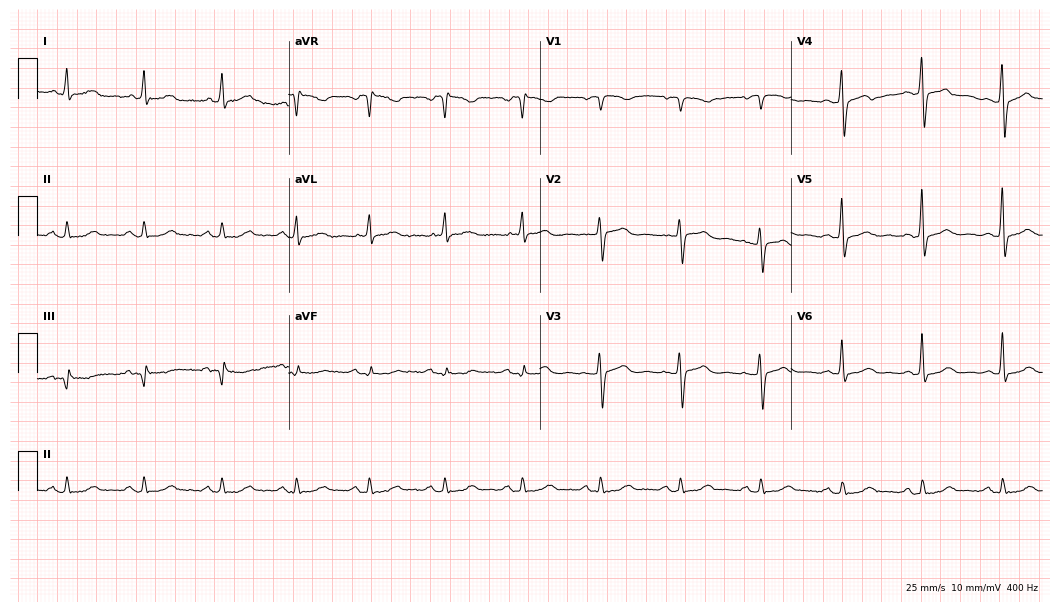
Standard 12-lead ECG recorded from a 55-year-old woman. Read as a normal ECG.